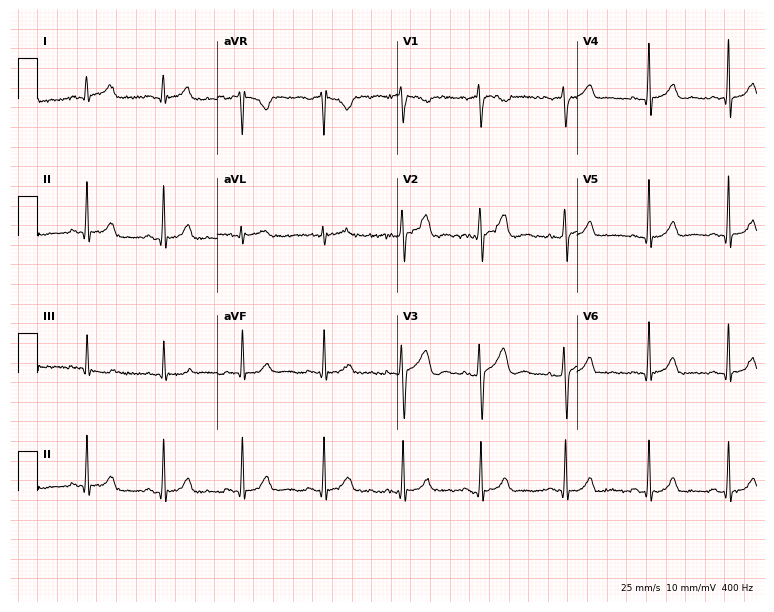
12-lead ECG from a woman, 35 years old. Labelled as a normal ECG.